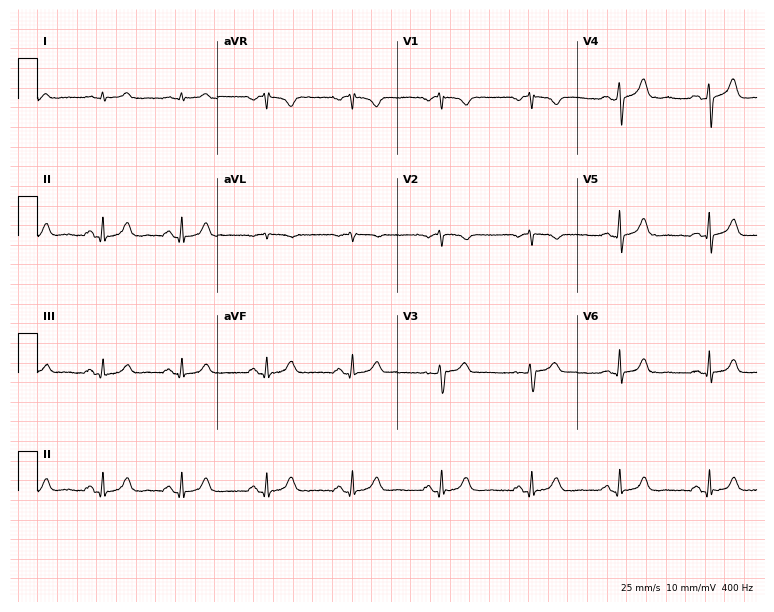
Standard 12-lead ECG recorded from a male patient, 61 years old (7.3-second recording at 400 Hz). Read as a normal ECG.